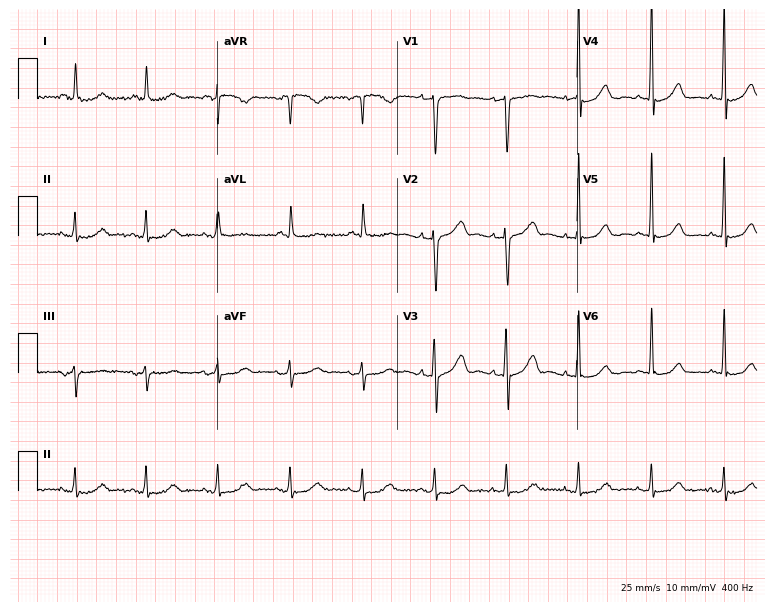
12-lead ECG from a female, 71 years old. No first-degree AV block, right bundle branch block, left bundle branch block, sinus bradycardia, atrial fibrillation or sinus tachycardia recorded for this tracing.